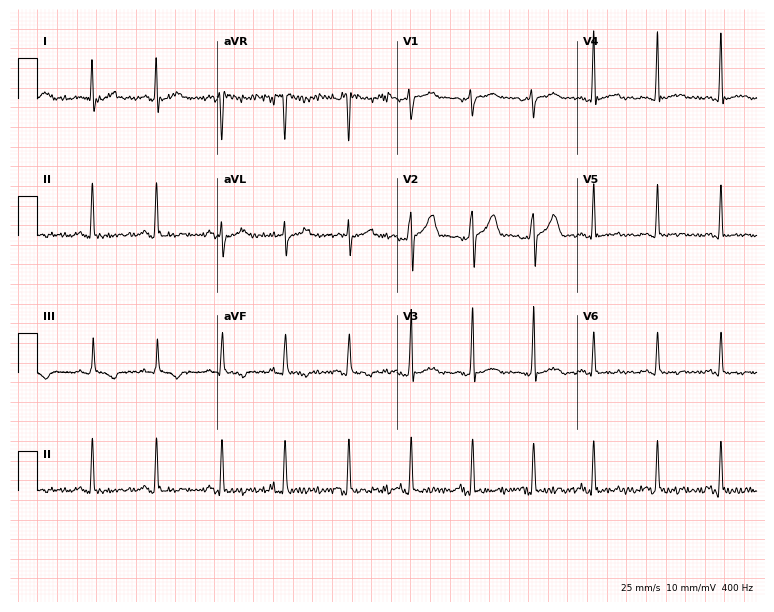
12-lead ECG from a 32-year-old male (7.3-second recording at 400 Hz). No first-degree AV block, right bundle branch block (RBBB), left bundle branch block (LBBB), sinus bradycardia, atrial fibrillation (AF) or sinus tachycardia recorded for this tracing. Only these six findings were labelled.